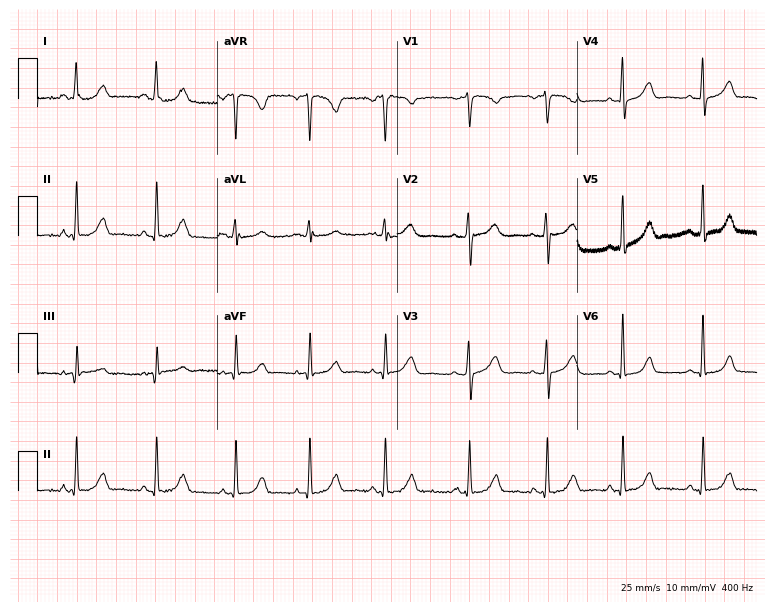
12-lead ECG from a 32-year-old woman. Recorded interpretation: within normal limits.